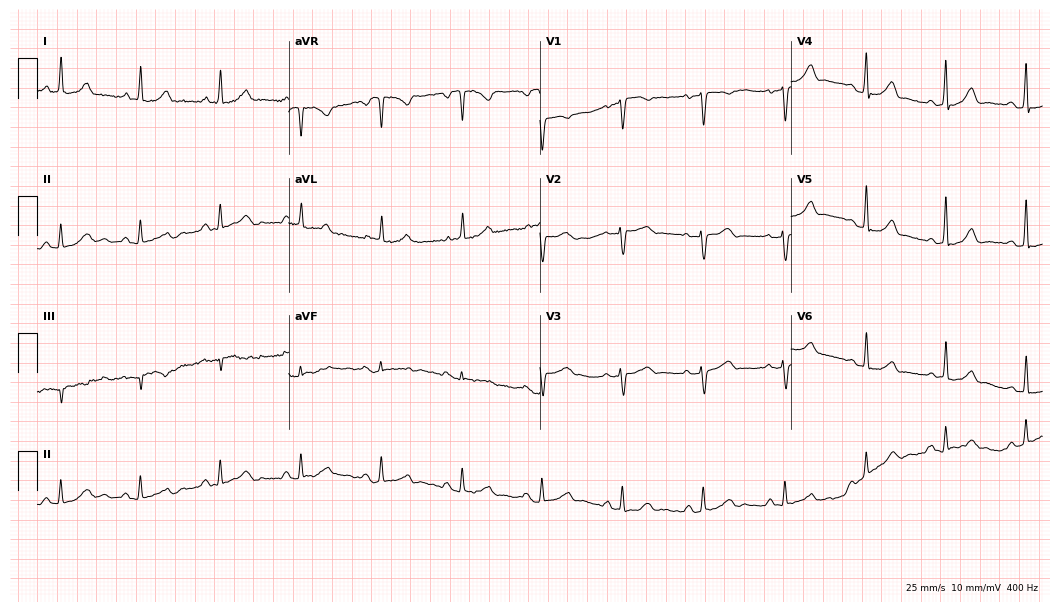
Standard 12-lead ECG recorded from a 68-year-old female (10.2-second recording at 400 Hz). Read as a normal ECG.